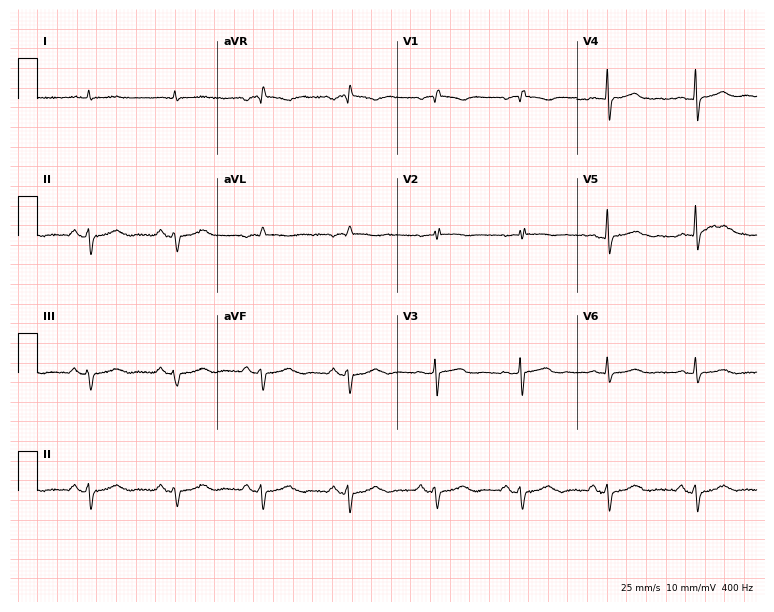
Standard 12-lead ECG recorded from an 82-year-old man. None of these six findings is recorded: first-degree AV block, right bundle branch block, left bundle branch block, sinus bradycardia, atrial fibrillation, sinus tachycardia.